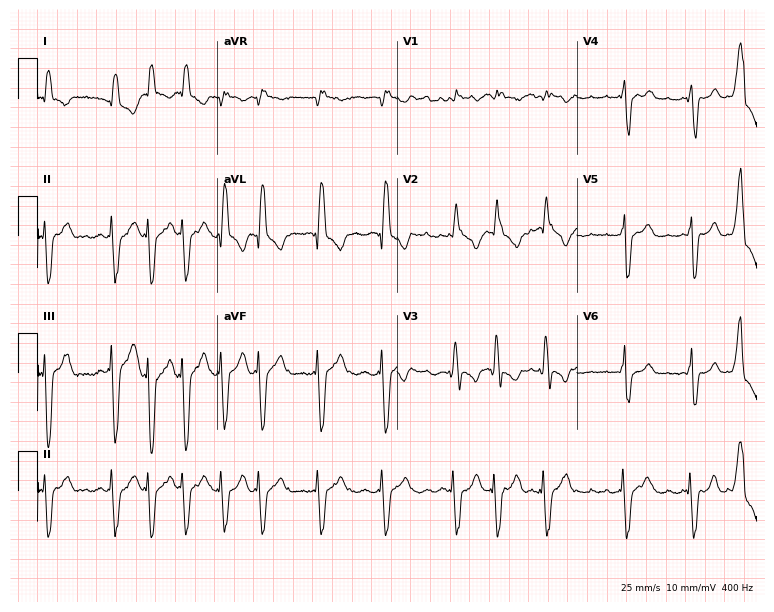
12-lead ECG (7.3-second recording at 400 Hz) from a 41-year-old female patient. Findings include right bundle branch block, atrial fibrillation.